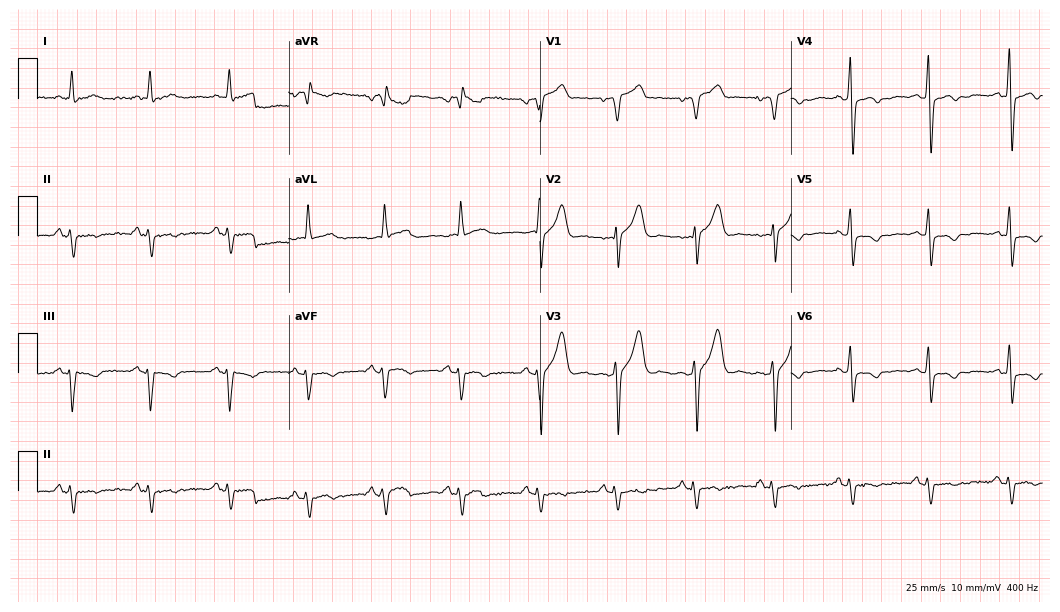
Electrocardiogram (10.2-second recording at 400 Hz), a 56-year-old man. Of the six screened findings (first-degree AV block, right bundle branch block (RBBB), left bundle branch block (LBBB), sinus bradycardia, atrial fibrillation (AF), sinus tachycardia), none is recorded.